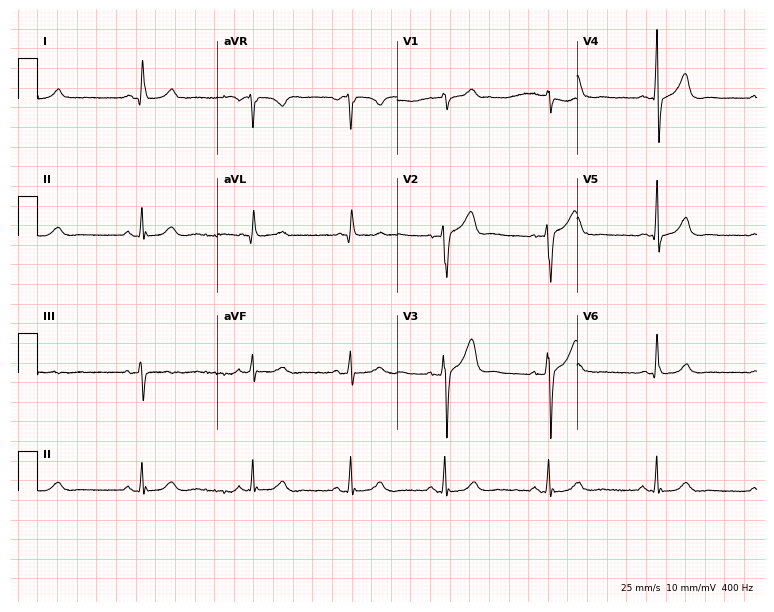
Resting 12-lead electrocardiogram (7.3-second recording at 400 Hz). Patient: a man, 32 years old. None of these six findings is recorded: first-degree AV block, right bundle branch block (RBBB), left bundle branch block (LBBB), sinus bradycardia, atrial fibrillation (AF), sinus tachycardia.